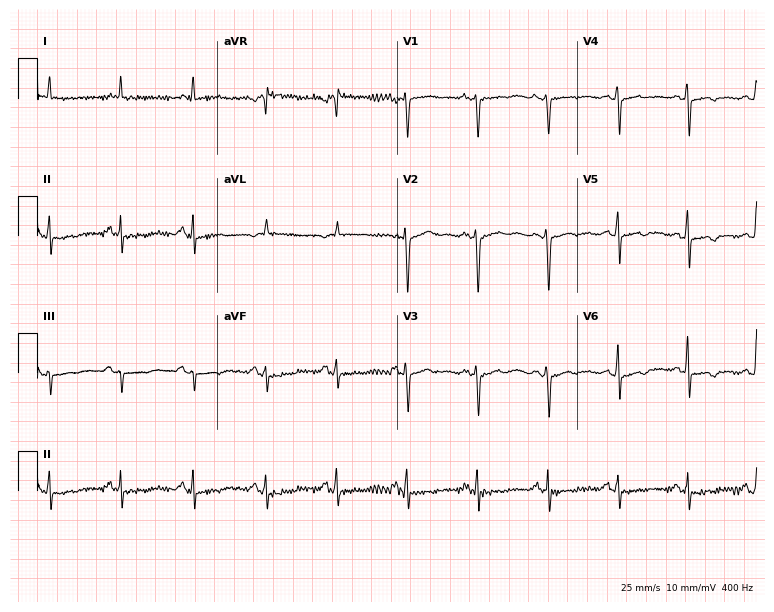
Standard 12-lead ECG recorded from a female patient, 55 years old (7.3-second recording at 400 Hz). None of these six findings is recorded: first-degree AV block, right bundle branch block, left bundle branch block, sinus bradycardia, atrial fibrillation, sinus tachycardia.